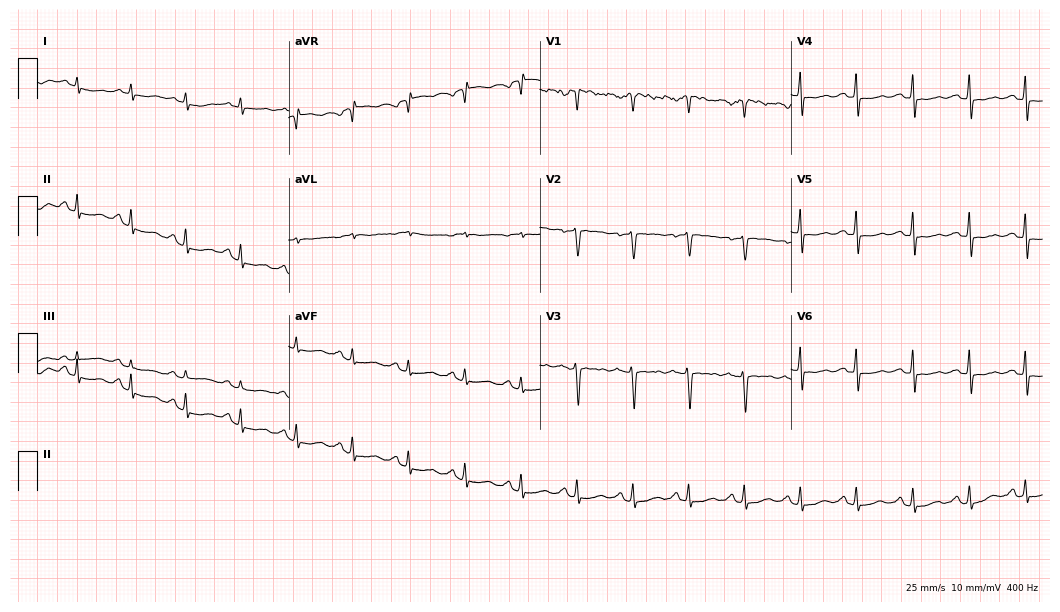
12-lead ECG from a female patient, 47 years old (10.2-second recording at 400 Hz). No first-degree AV block, right bundle branch block, left bundle branch block, sinus bradycardia, atrial fibrillation or sinus tachycardia recorded for this tracing.